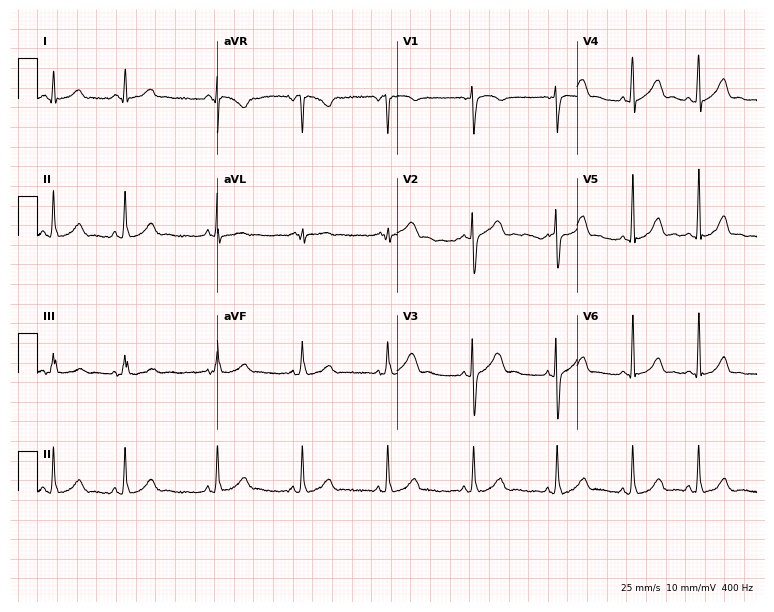
ECG (7.3-second recording at 400 Hz) — a 28-year-old woman. Screened for six findings — first-degree AV block, right bundle branch block, left bundle branch block, sinus bradycardia, atrial fibrillation, sinus tachycardia — none is recorded.